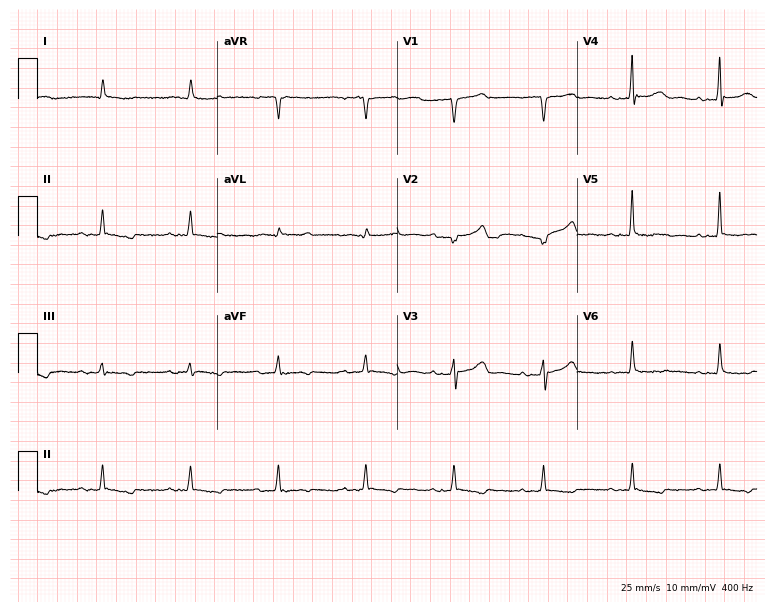
Standard 12-lead ECG recorded from a 70-year-old male patient. None of these six findings is recorded: first-degree AV block, right bundle branch block (RBBB), left bundle branch block (LBBB), sinus bradycardia, atrial fibrillation (AF), sinus tachycardia. Findings outside these six are not listed.